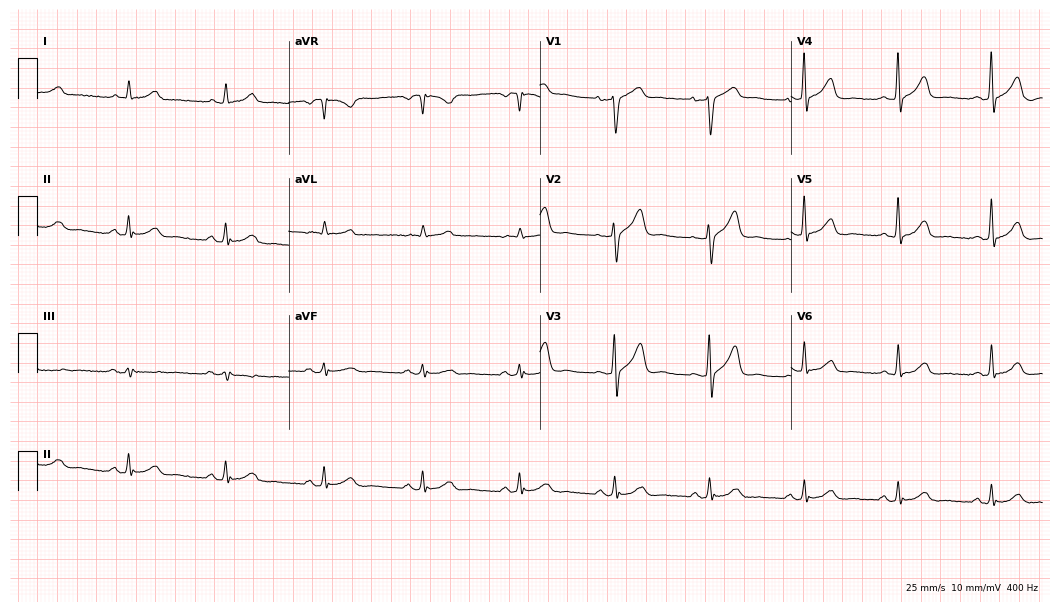
ECG (10.2-second recording at 400 Hz) — a 71-year-old male patient. Labelled as a normal ECG.